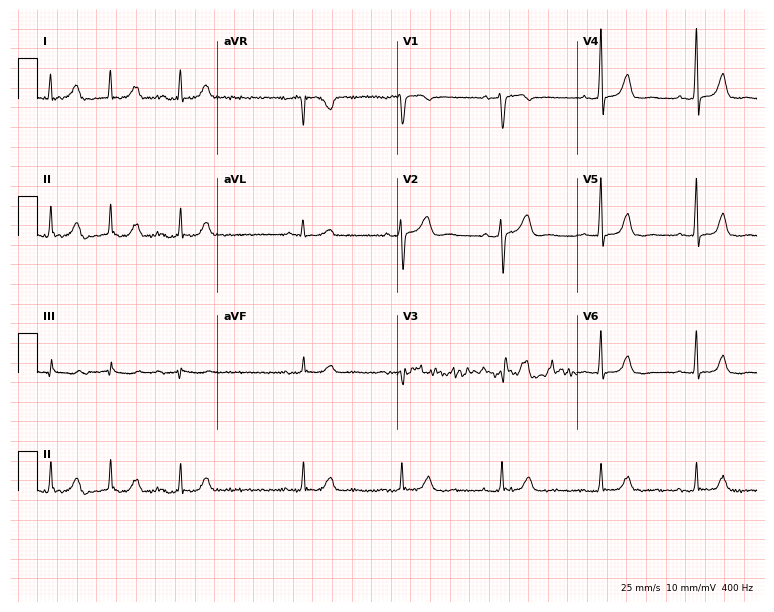
ECG (7.3-second recording at 400 Hz) — a 74-year-old woman. Labelled as a normal ECG.